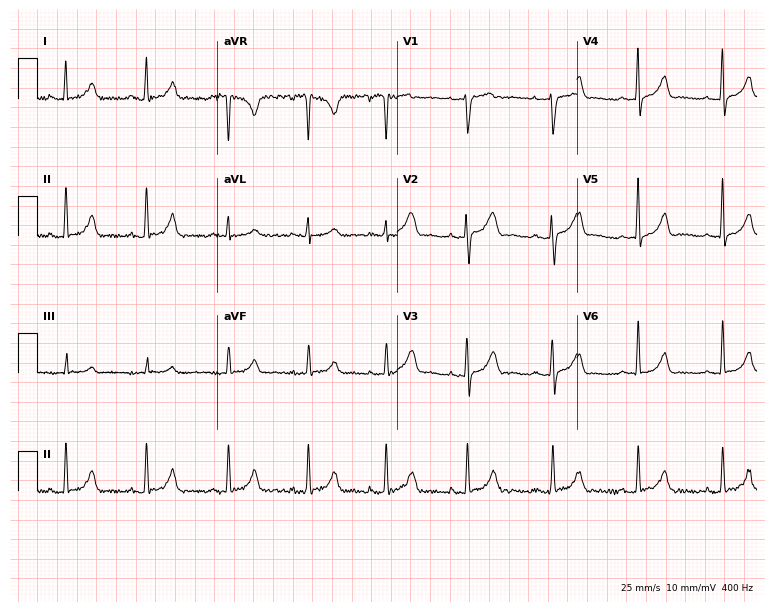
ECG — a 26-year-old woman. Labelled as a normal ECG.